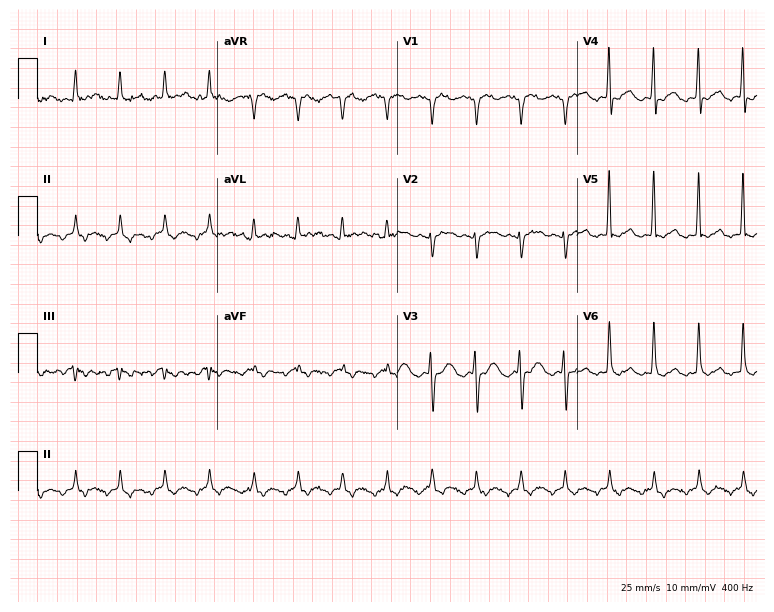
ECG (7.3-second recording at 400 Hz) — a man, 70 years old. Screened for six findings — first-degree AV block, right bundle branch block, left bundle branch block, sinus bradycardia, atrial fibrillation, sinus tachycardia — none is recorded. Other findings, if any, are not listed.